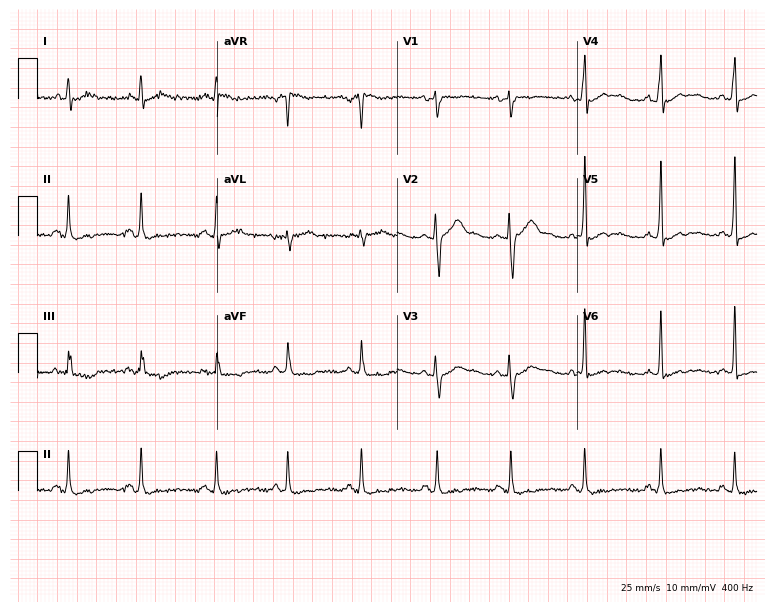
12-lead ECG (7.3-second recording at 400 Hz) from a male, 42 years old. Screened for six findings — first-degree AV block, right bundle branch block (RBBB), left bundle branch block (LBBB), sinus bradycardia, atrial fibrillation (AF), sinus tachycardia — none is recorded. Findings outside these six are not listed.